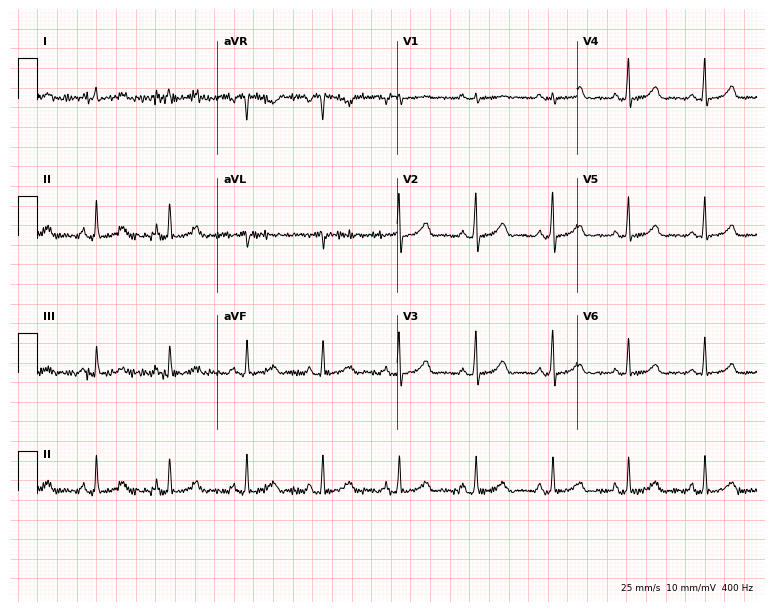
12-lead ECG from a 41-year-old woman. Recorded interpretation: within normal limits.